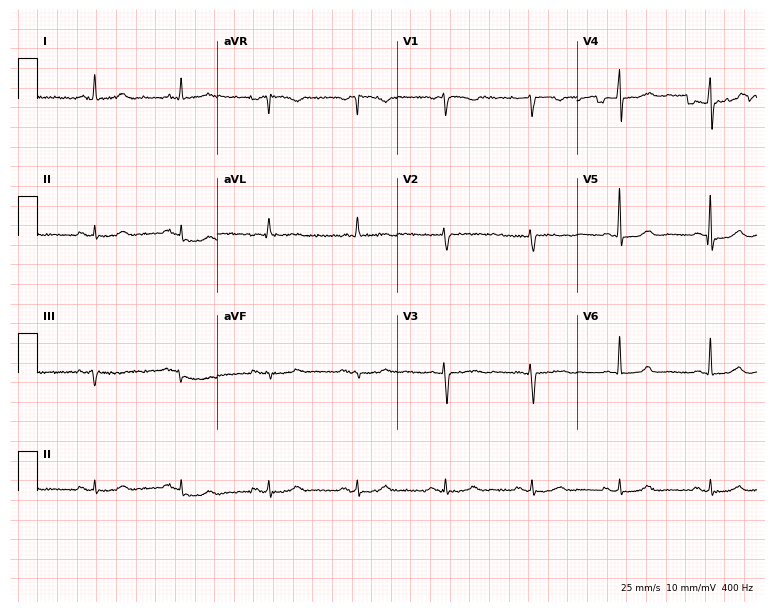
Electrocardiogram (7.3-second recording at 400 Hz), a 61-year-old male. Of the six screened findings (first-degree AV block, right bundle branch block (RBBB), left bundle branch block (LBBB), sinus bradycardia, atrial fibrillation (AF), sinus tachycardia), none is recorded. Other findings, if any, are not listed.